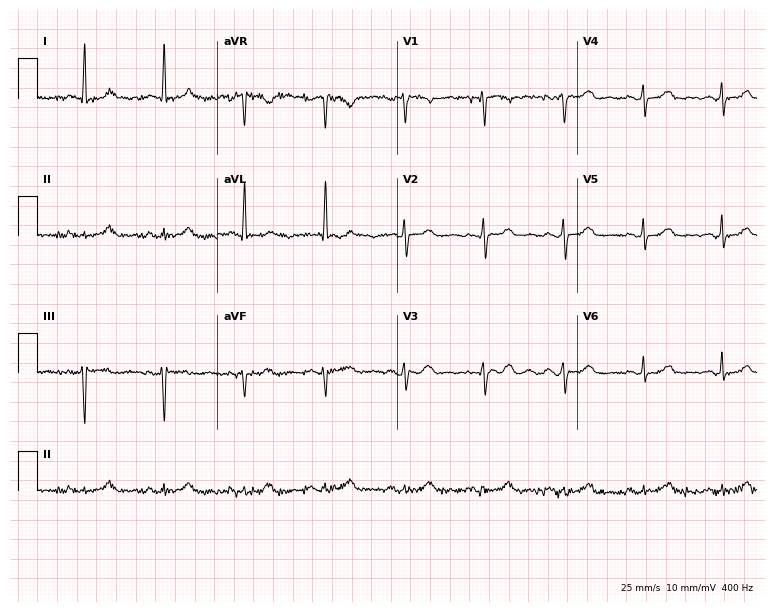
12-lead ECG from an 82-year-old female. No first-degree AV block, right bundle branch block, left bundle branch block, sinus bradycardia, atrial fibrillation or sinus tachycardia recorded for this tracing.